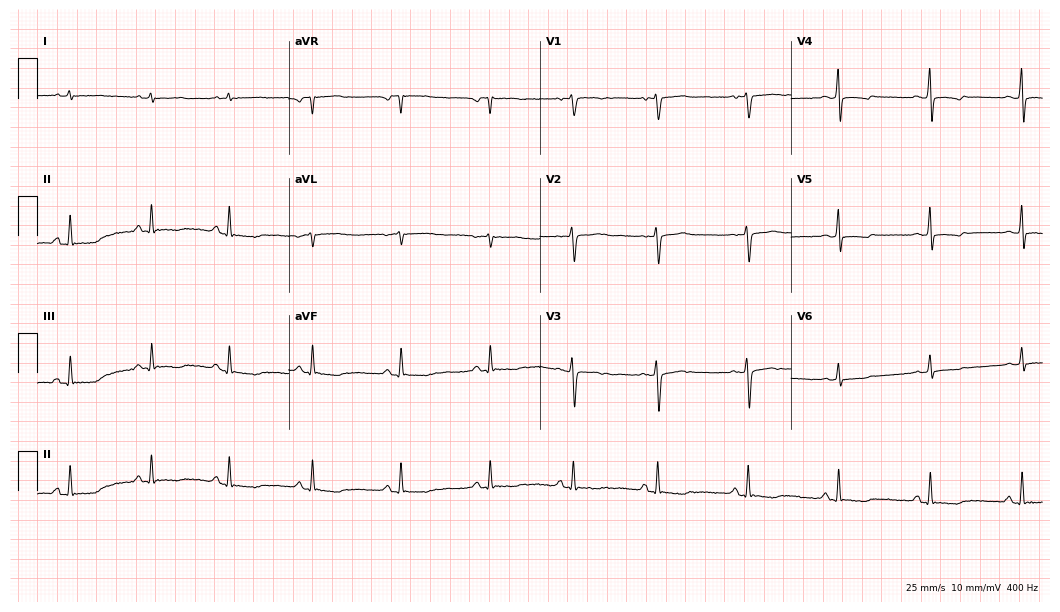
12-lead ECG from a 26-year-old female. Screened for six findings — first-degree AV block, right bundle branch block, left bundle branch block, sinus bradycardia, atrial fibrillation, sinus tachycardia — none is recorded. Findings outside these six are not listed.